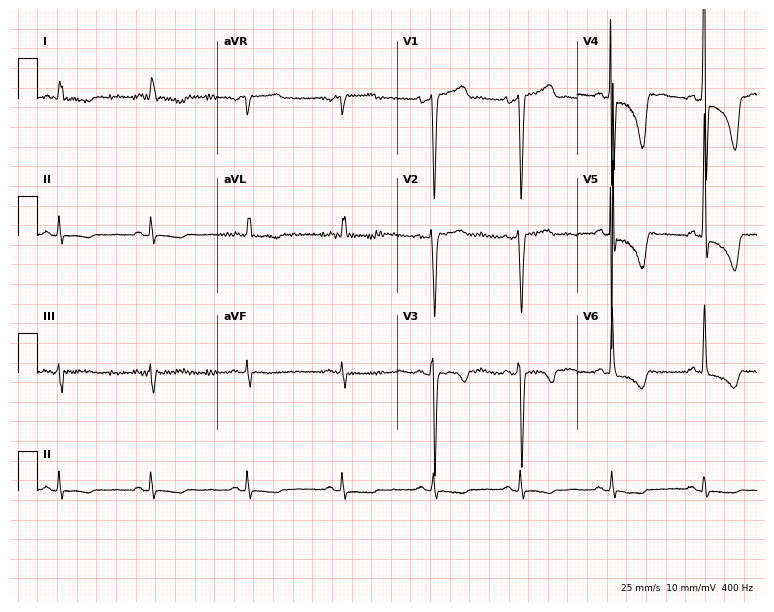
ECG — a 74-year-old female patient. Screened for six findings — first-degree AV block, right bundle branch block, left bundle branch block, sinus bradycardia, atrial fibrillation, sinus tachycardia — none is recorded. Only these six findings were labelled.